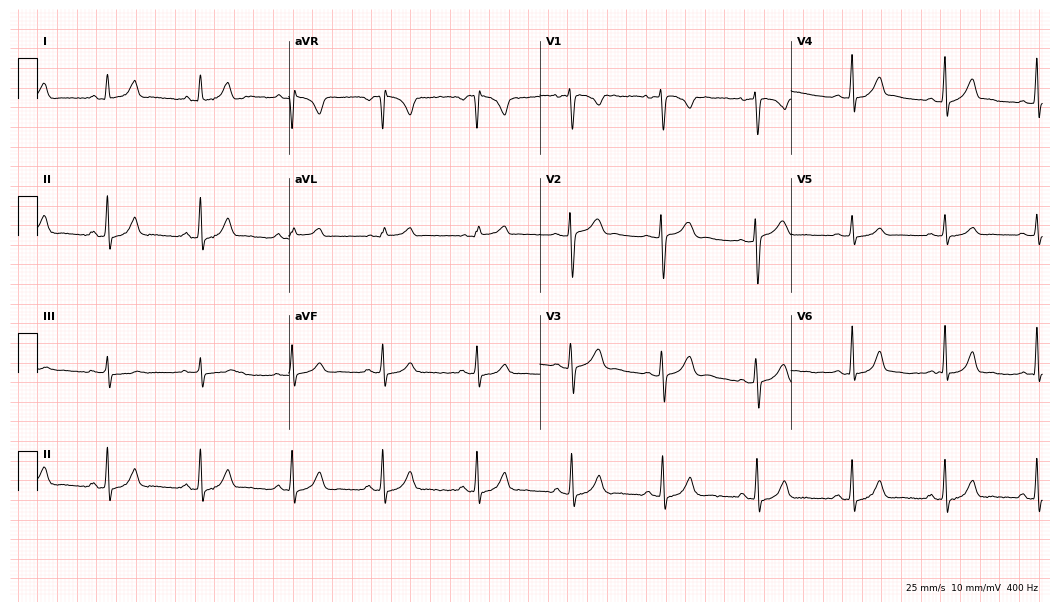
Resting 12-lead electrocardiogram (10.2-second recording at 400 Hz). Patient: a 33-year-old woman. Read as a normal ECG.